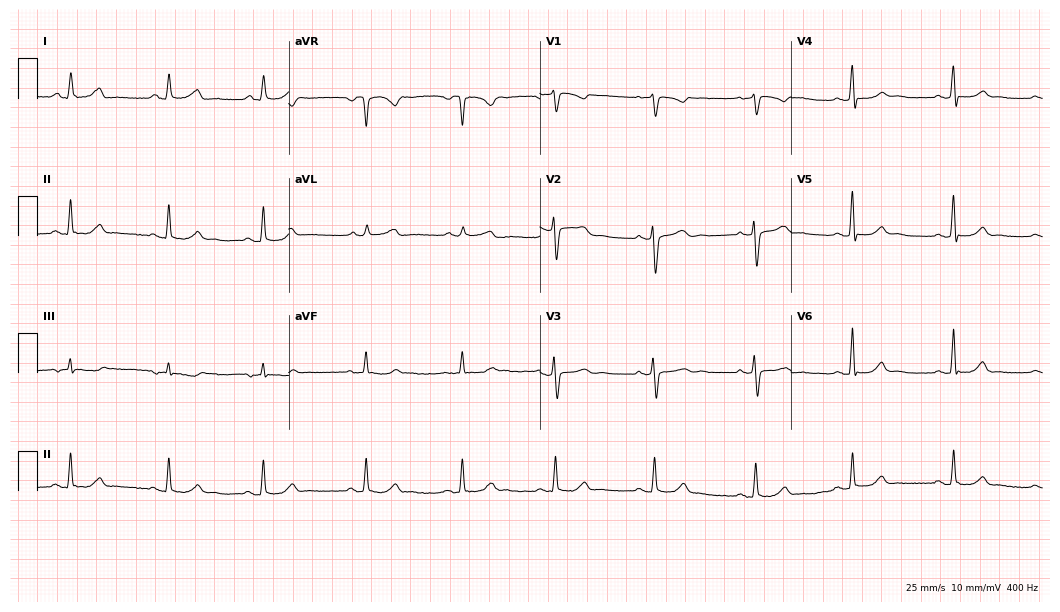
ECG (10.2-second recording at 400 Hz) — a 60-year-old woman. Screened for six findings — first-degree AV block, right bundle branch block, left bundle branch block, sinus bradycardia, atrial fibrillation, sinus tachycardia — none is recorded.